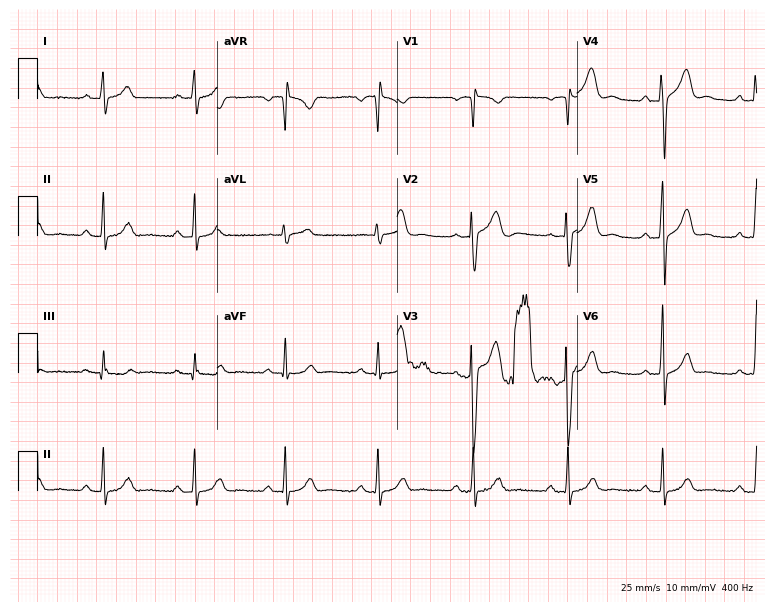
Standard 12-lead ECG recorded from a 57-year-old man (7.3-second recording at 400 Hz). Read as a normal ECG.